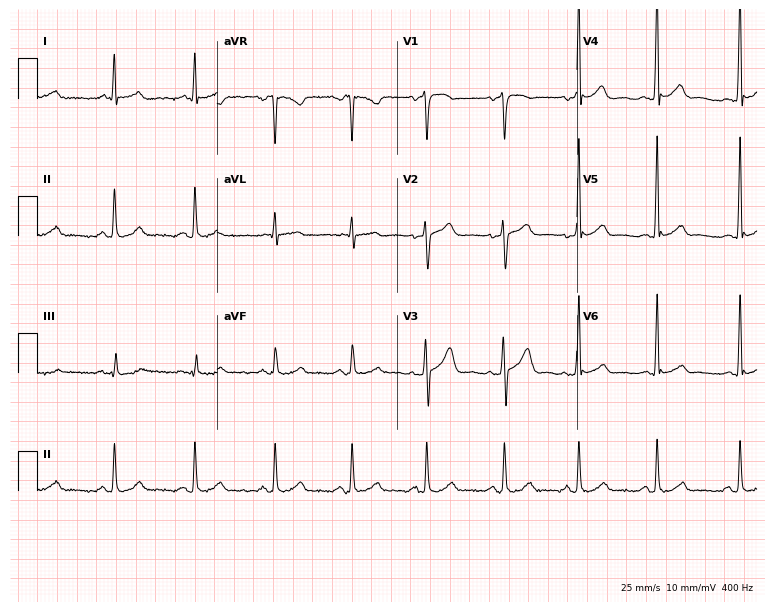
Resting 12-lead electrocardiogram. Patient: a male, 36 years old. Read as a normal ECG.